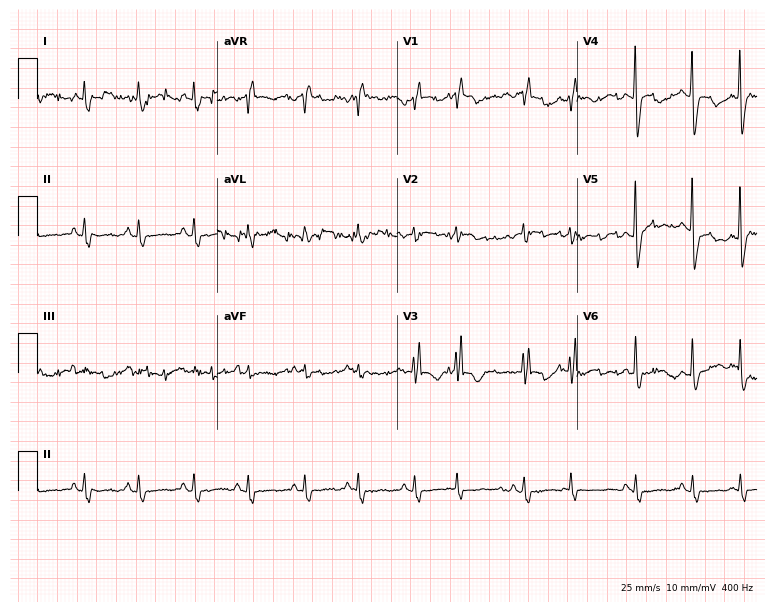
Standard 12-lead ECG recorded from a woman, 85 years old. The tracing shows sinus tachycardia (a sinus rate of 100 beats per minute or more).